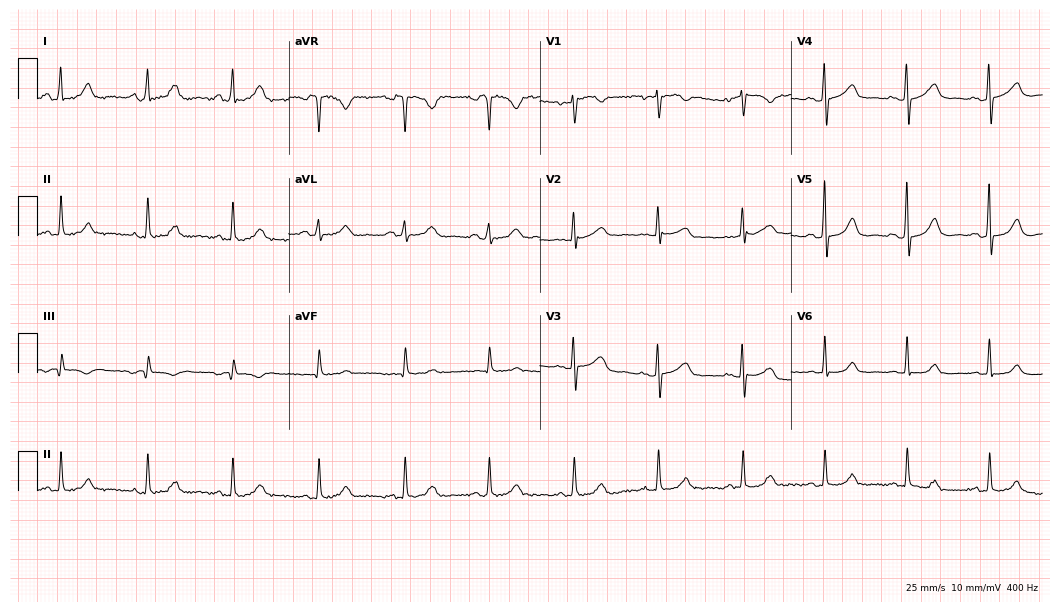
ECG — a female patient, 75 years old. Labelled as a normal ECG.